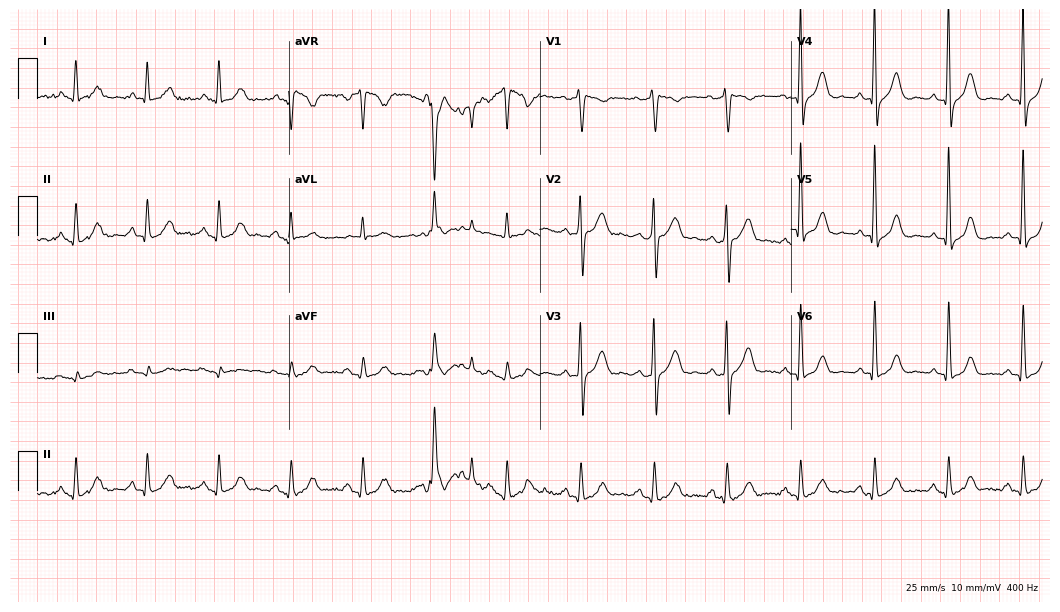
Standard 12-lead ECG recorded from a man, 74 years old. Read as a normal ECG.